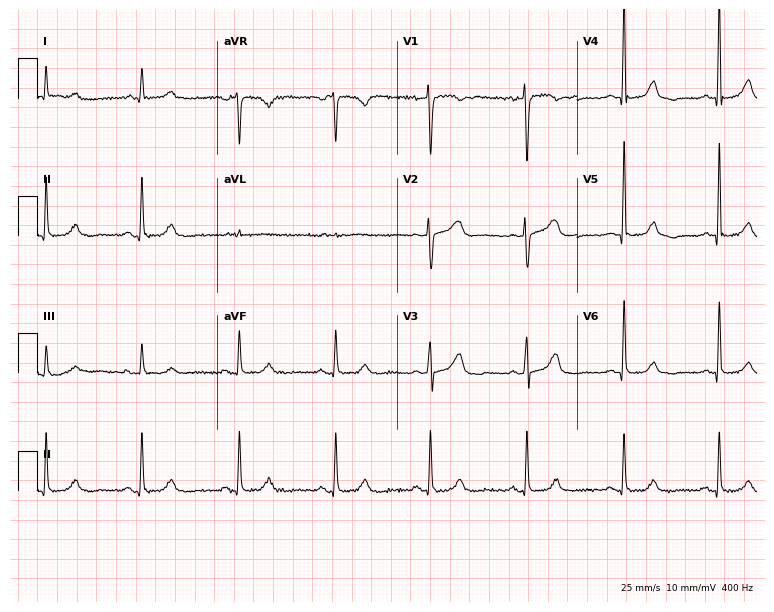
Standard 12-lead ECG recorded from a female, 57 years old (7.3-second recording at 400 Hz). None of these six findings is recorded: first-degree AV block, right bundle branch block (RBBB), left bundle branch block (LBBB), sinus bradycardia, atrial fibrillation (AF), sinus tachycardia.